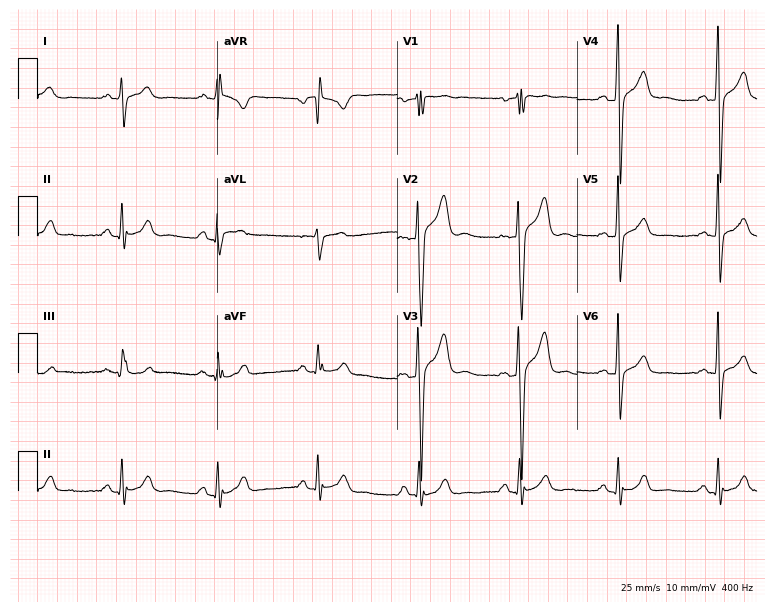
Standard 12-lead ECG recorded from a man, 41 years old (7.3-second recording at 400 Hz). None of these six findings is recorded: first-degree AV block, right bundle branch block, left bundle branch block, sinus bradycardia, atrial fibrillation, sinus tachycardia. Only these six findings were labelled.